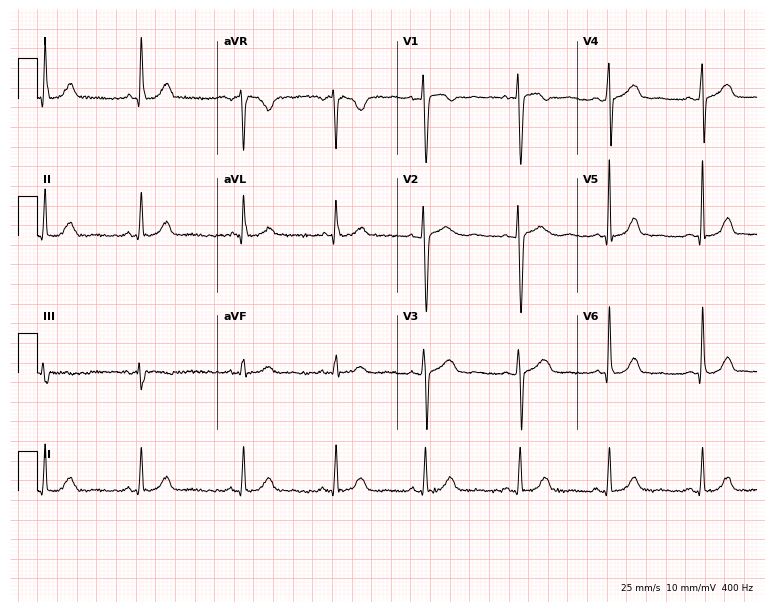
Electrocardiogram (7.3-second recording at 400 Hz), a female patient, 40 years old. Of the six screened findings (first-degree AV block, right bundle branch block, left bundle branch block, sinus bradycardia, atrial fibrillation, sinus tachycardia), none is recorded.